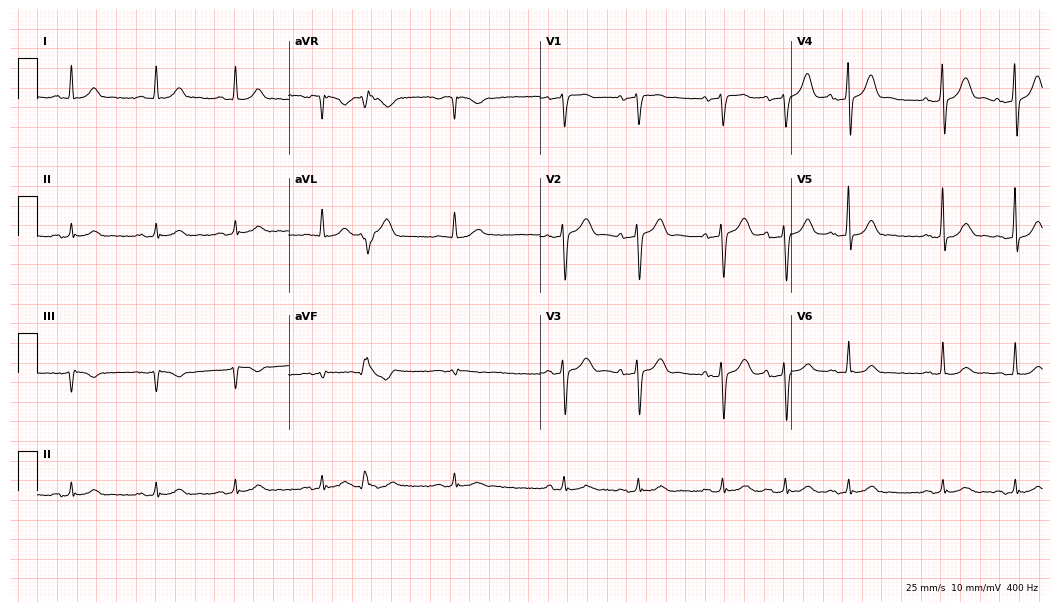
Standard 12-lead ECG recorded from a 73-year-old male patient (10.2-second recording at 400 Hz). None of these six findings is recorded: first-degree AV block, right bundle branch block, left bundle branch block, sinus bradycardia, atrial fibrillation, sinus tachycardia.